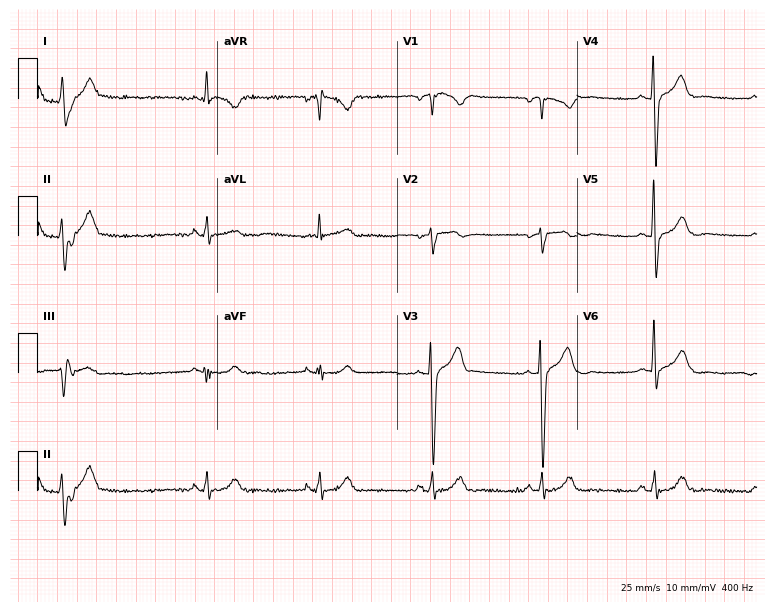
Standard 12-lead ECG recorded from a 55-year-old male patient. None of these six findings is recorded: first-degree AV block, right bundle branch block, left bundle branch block, sinus bradycardia, atrial fibrillation, sinus tachycardia. Only these six findings were labelled.